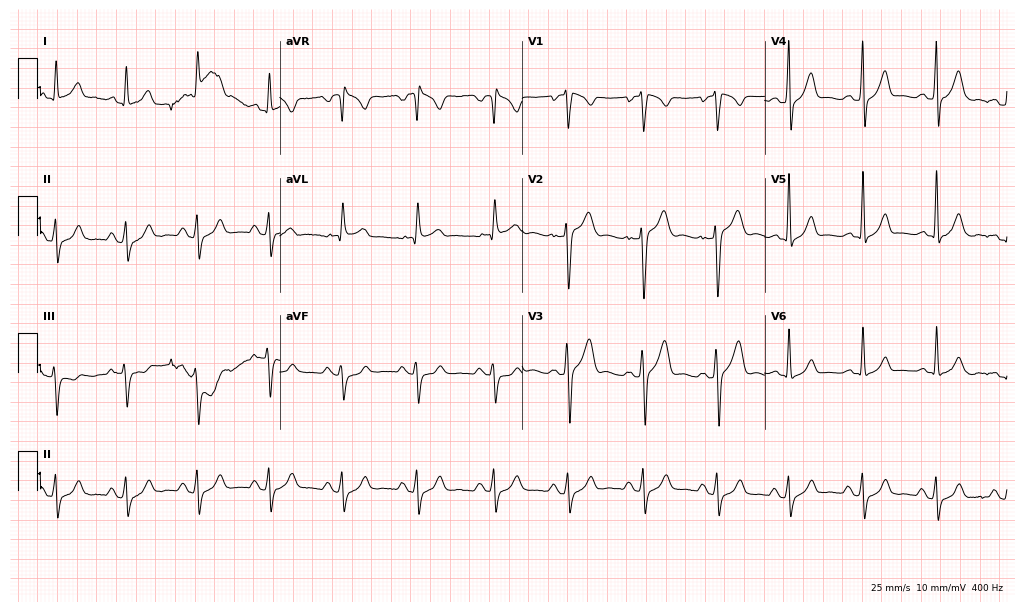
Electrocardiogram, a 23-year-old male patient. Of the six screened findings (first-degree AV block, right bundle branch block, left bundle branch block, sinus bradycardia, atrial fibrillation, sinus tachycardia), none is recorded. Findings outside these six are not listed.